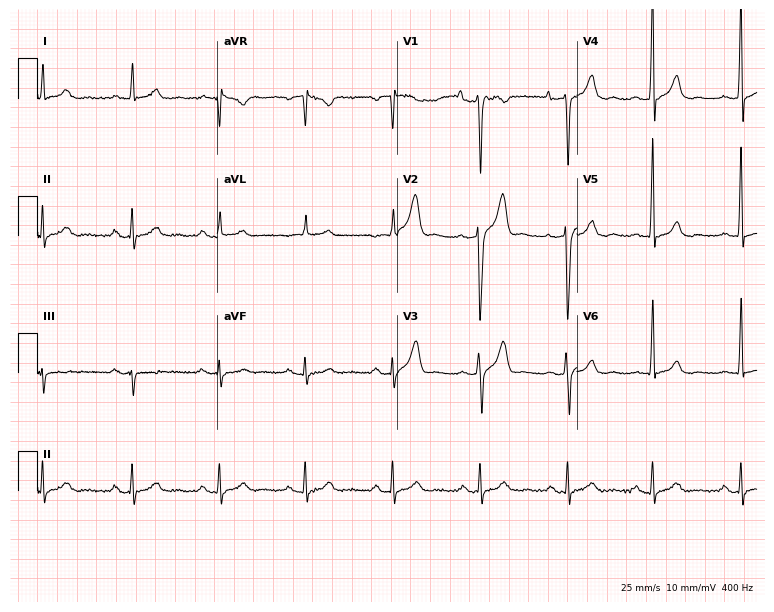
Electrocardiogram, a male patient, 56 years old. Overall reading on record: normal ECG.